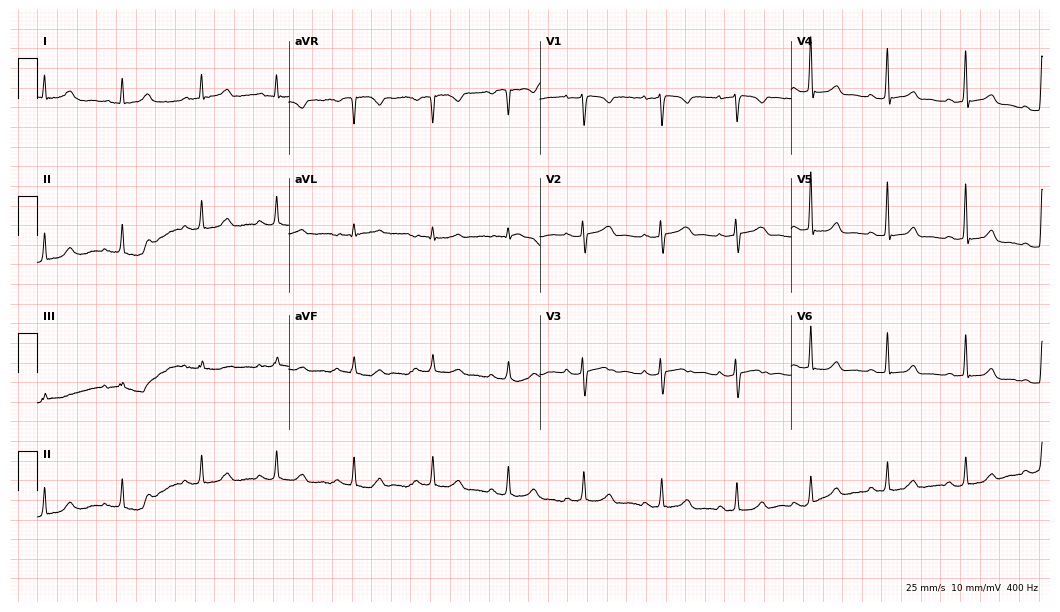
ECG — a female patient, 38 years old. Labelled as a normal ECG.